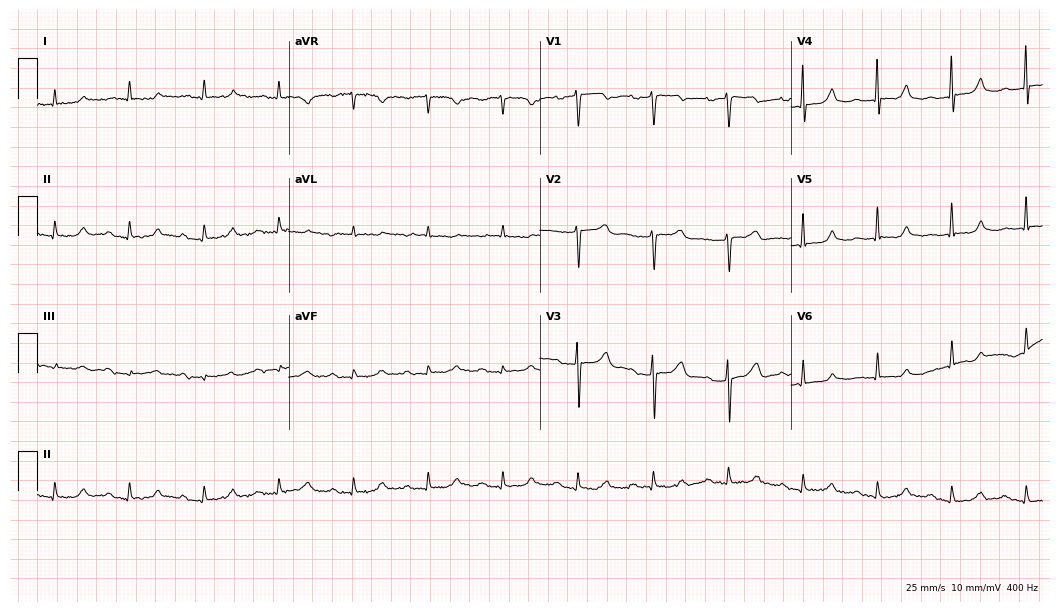
ECG (10.2-second recording at 400 Hz) — a female, 54 years old. Findings include first-degree AV block.